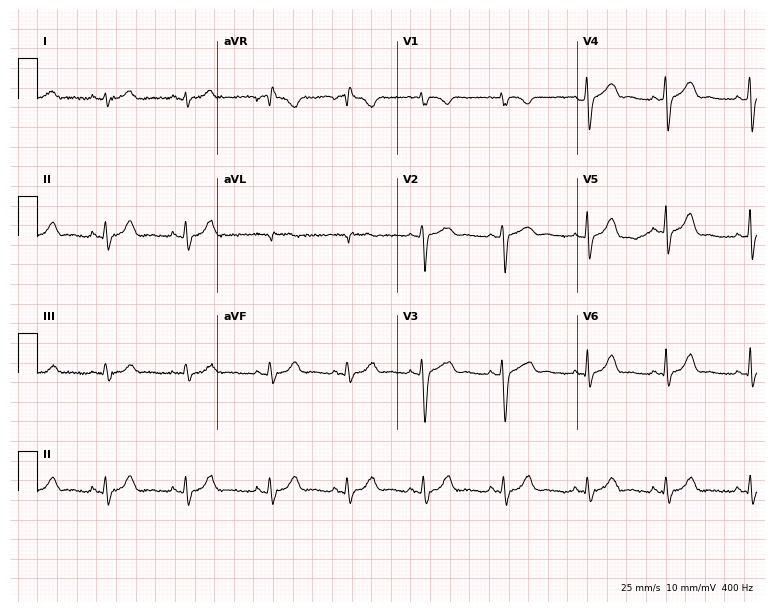
Electrocardiogram, a woman, 21 years old. Overall reading on record: normal ECG.